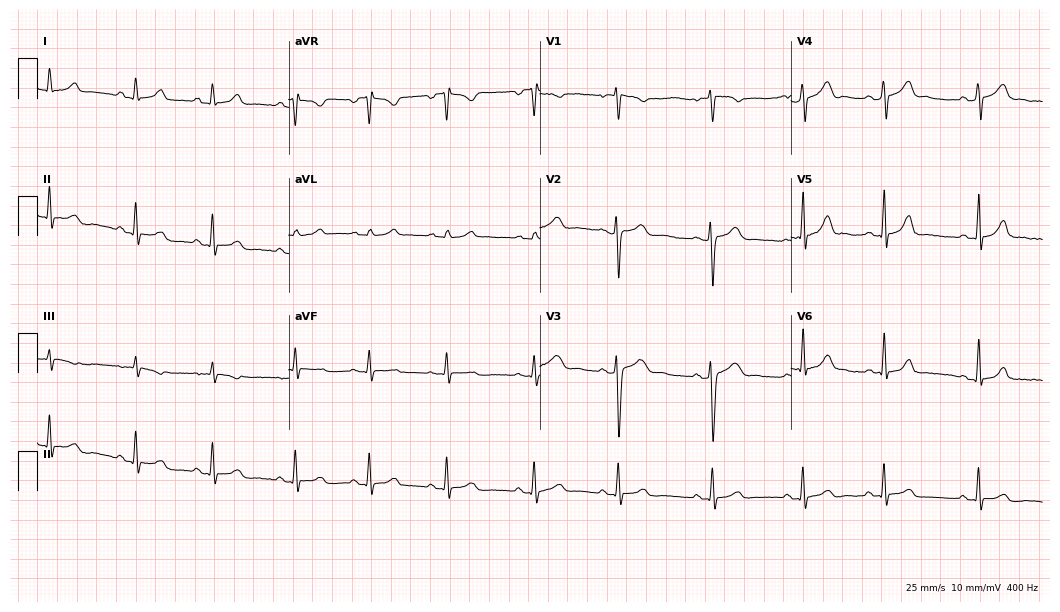
12-lead ECG from a woman, 19 years old. Labelled as a normal ECG.